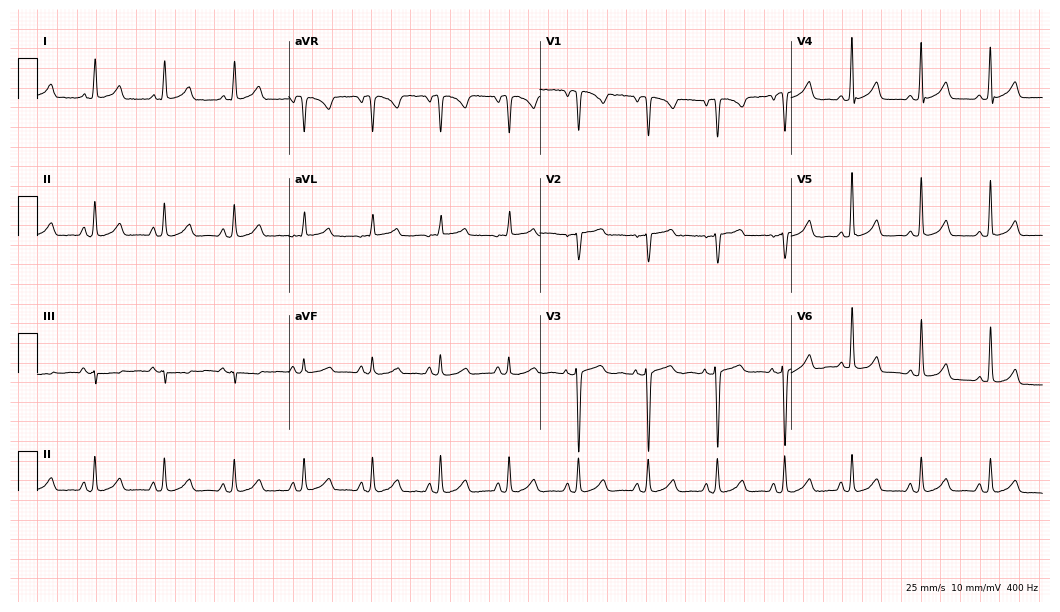
12-lead ECG from a woman, 69 years old (10.2-second recording at 400 Hz). Recorded interpretation: within normal limits.